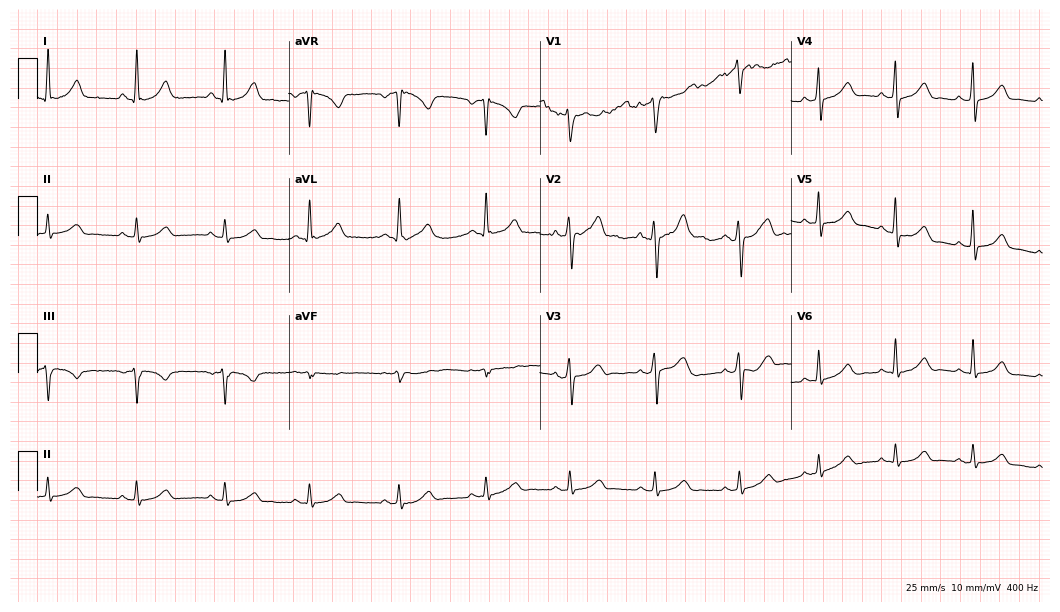
Standard 12-lead ECG recorded from a 43-year-old male patient. None of these six findings is recorded: first-degree AV block, right bundle branch block (RBBB), left bundle branch block (LBBB), sinus bradycardia, atrial fibrillation (AF), sinus tachycardia.